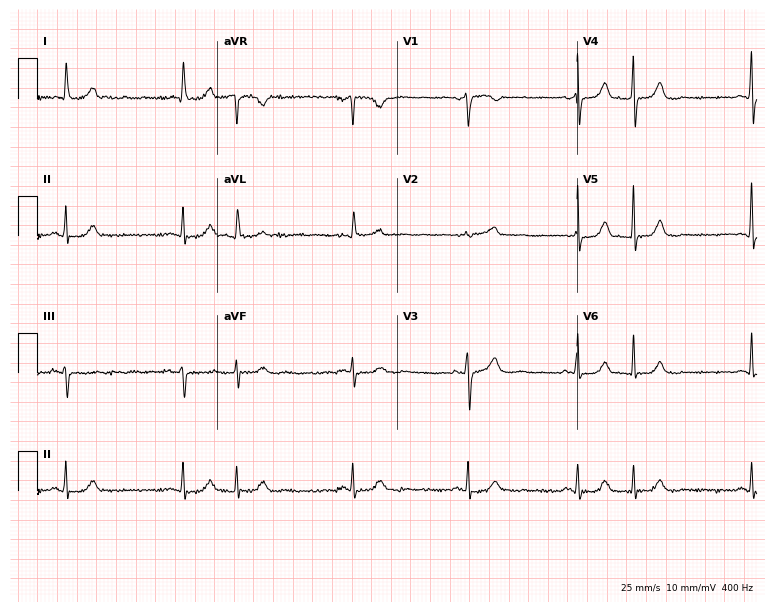
Electrocardiogram, a 70-year-old female patient. Interpretation includes first-degree AV block.